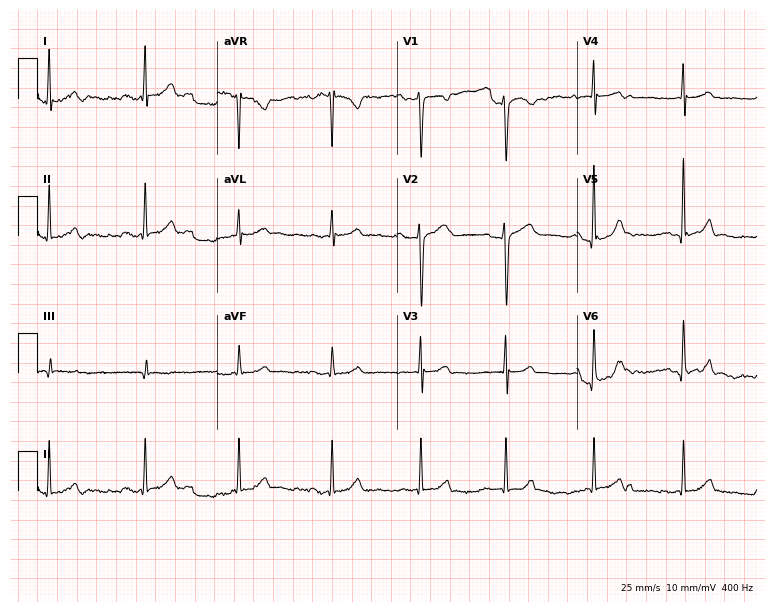
Electrocardiogram, a 62-year-old man. Of the six screened findings (first-degree AV block, right bundle branch block (RBBB), left bundle branch block (LBBB), sinus bradycardia, atrial fibrillation (AF), sinus tachycardia), none is recorded.